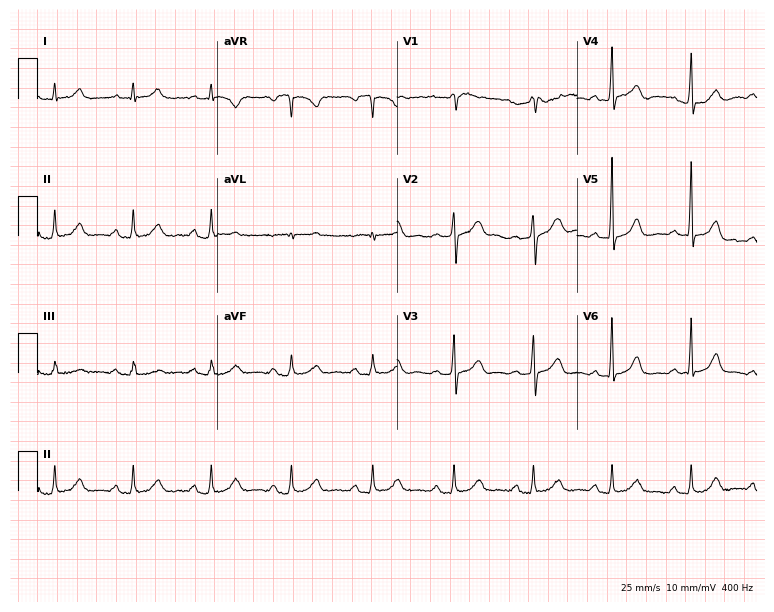
Resting 12-lead electrocardiogram (7.3-second recording at 400 Hz). Patient: a woman, 66 years old. Read as a normal ECG.